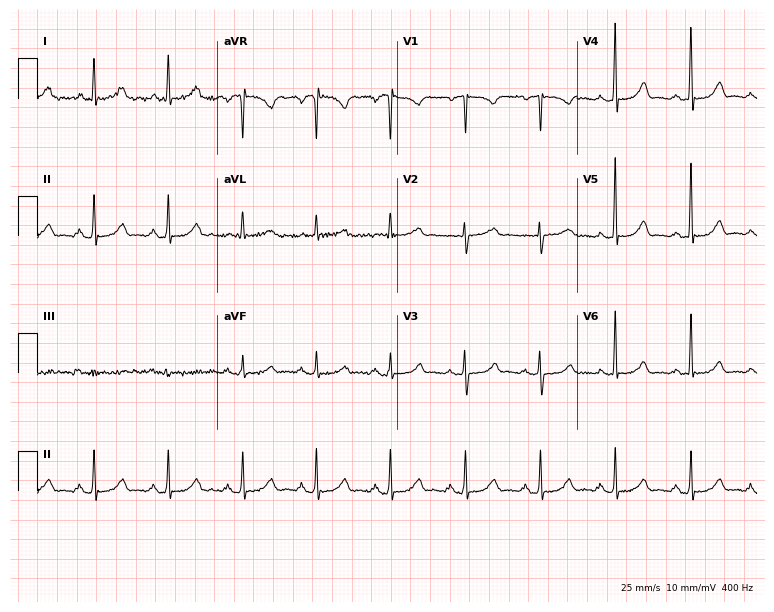
ECG (7.3-second recording at 400 Hz) — a female patient, 65 years old. Labelled as a normal ECG.